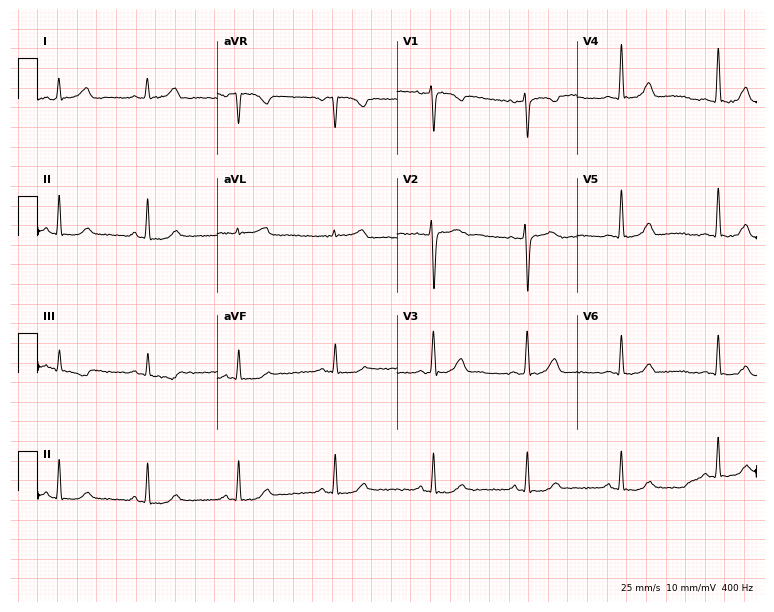
12-lead ECG from a female patient, 36 years old. Screened for six findings — first-degree AV block, right bundle branch block, left bundle branch block, sinus bradycardia, atrial fibrillation, sinus tachycardia — none is recorded. Only these six findings were labelled.